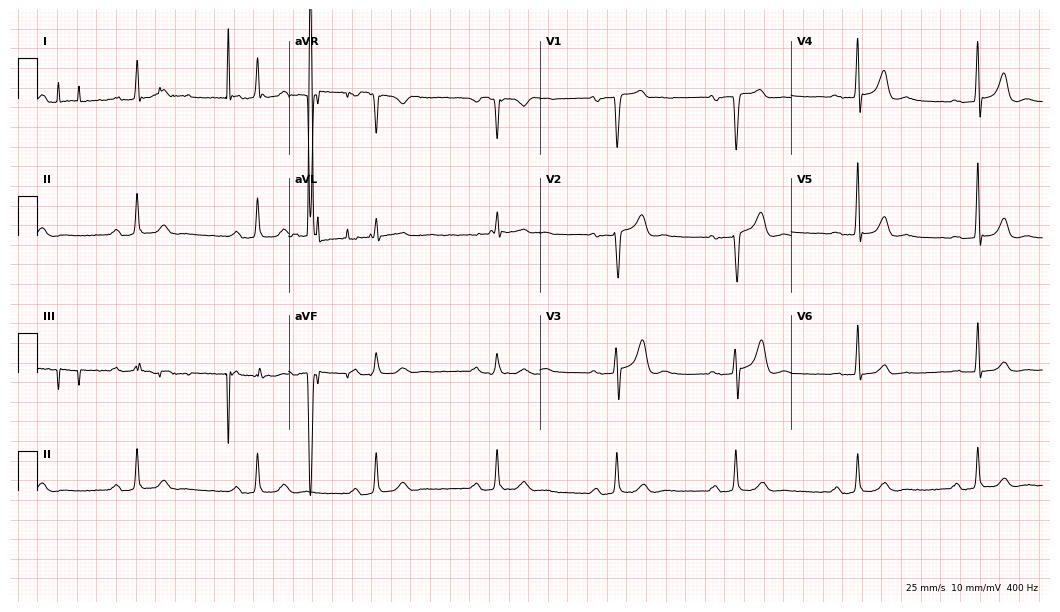
12-lead ECG from a 75-year-old male patient. Shows first-degree AV block, sinus bradycardia (a sinus rate of 50 beats per minute or less).